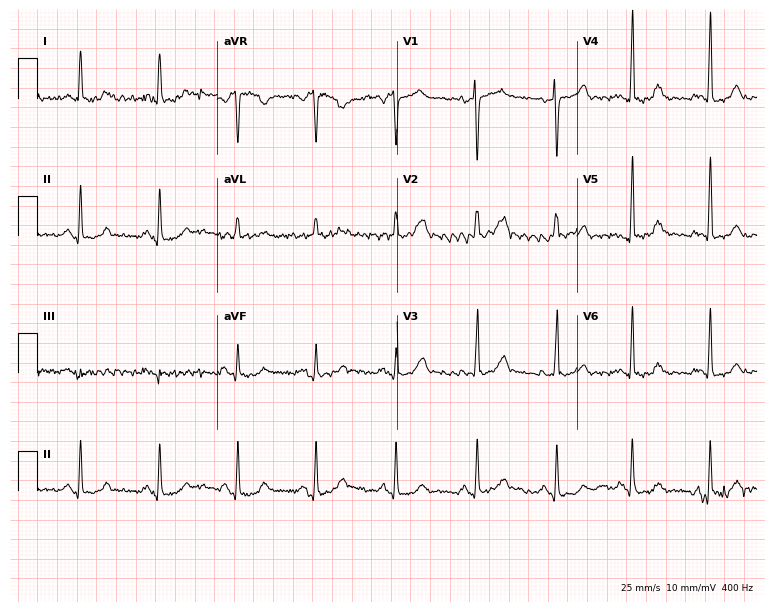
Resting 12-lead electrocardiogram (7.3-second recording at 400 Hz). Patient: a woman, 48 years old. None of these six findings is recorded: first-degree AV block, right bundle branch block, left bundle branch block, sinus bradycardia, atrial fibrillation, sinus tachycardia. Other findings, if any, are not listed.